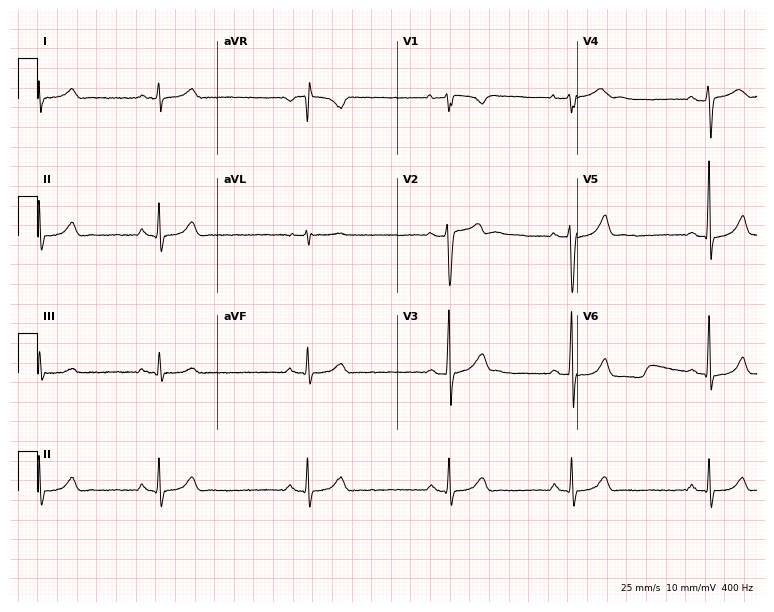
Resting 12-lead electrocardiogram (7.3-second recording at 400 Hz). Patient: a male, 26 years old. None of these six findings is recorded: first-degree AV block, right bundle branch block (RBBB), left bundle branch block (LBBB), sinus bradycardia, atrial fibrillation (AF), sinus tachycardia.